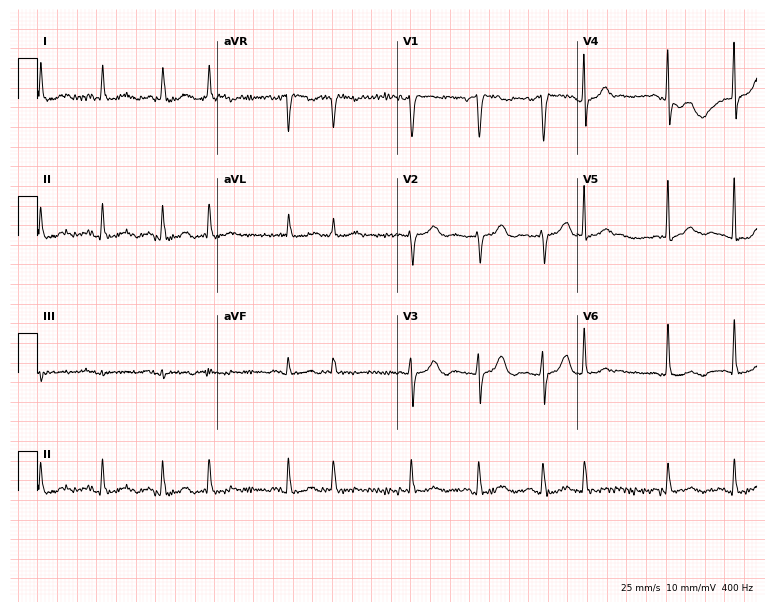
12-lead ECG (7.3-second recording at 400 Hz) from an 84-year-old woman. Screened for six findings — first-degree AV block, right bundle branch block, left bundle branch block, sinus bradycardia, atrial fibrillation, sinus tachycardia — none is recorded. Other findings, if any, are not listed.